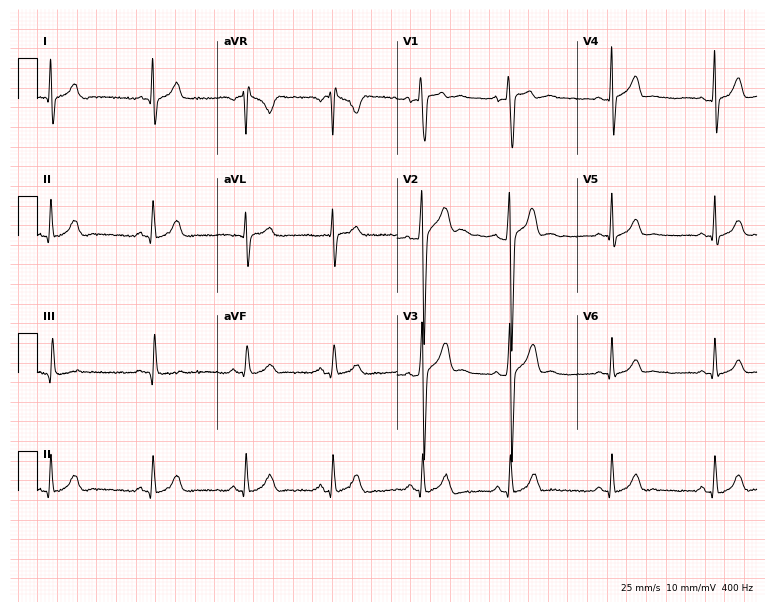
ECG — a man, 24 years old. Labelled as a normal ECG.